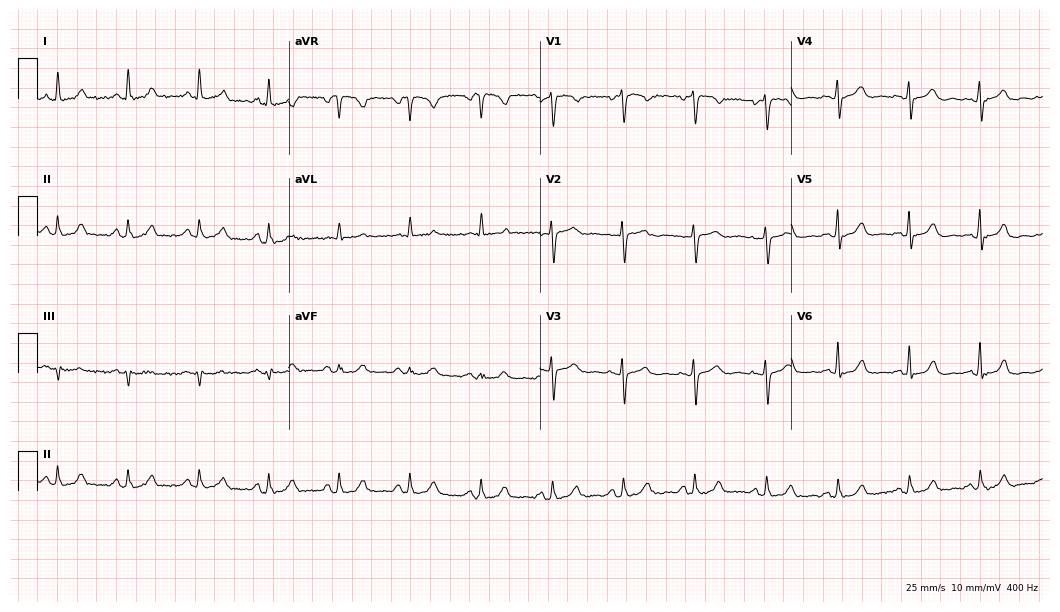
12-lead ECG from a female patient, 78 years old (10.2-second recording at 400 Hz). Recorded interpretation: within normal limits.